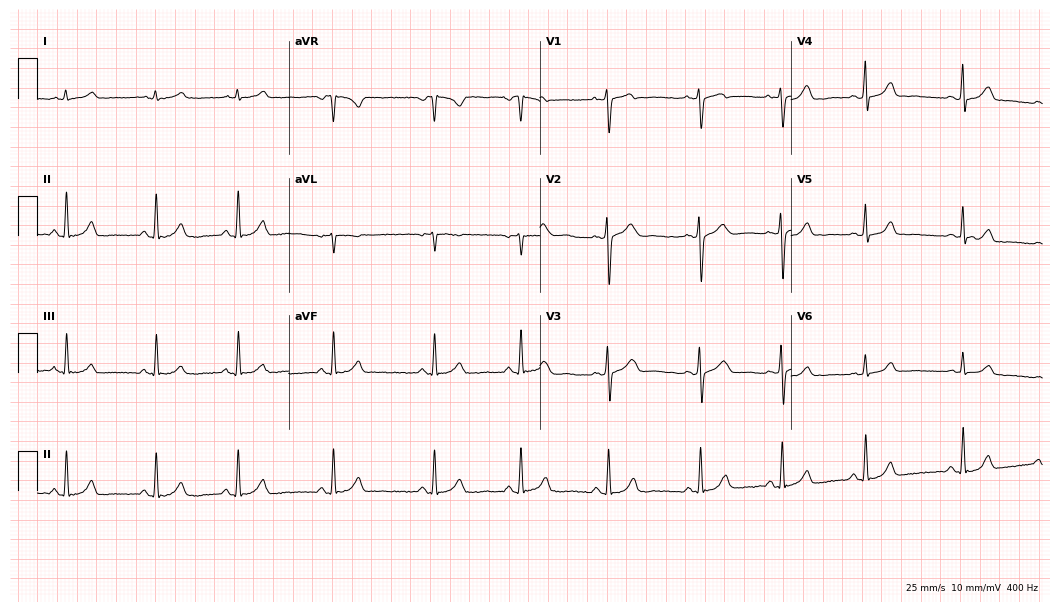
Electrocardiogram, a female patient, 30 years old. Overall reading on record: normal ECG.